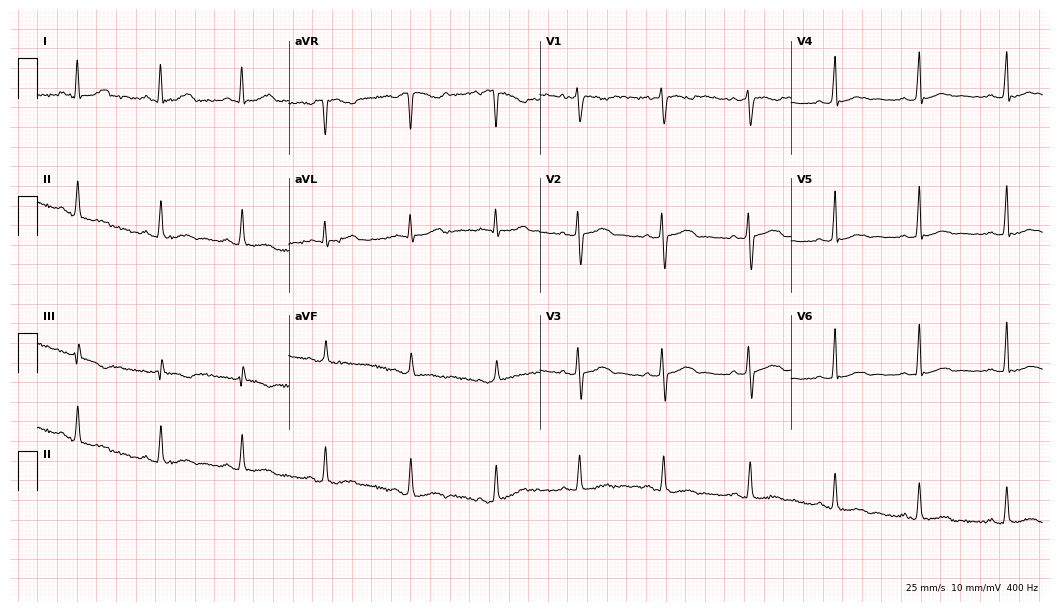
12-lead ECG (10.2-second recording at 400 Hz) from a 22-year-old woman. Labelled as a normal ECG.